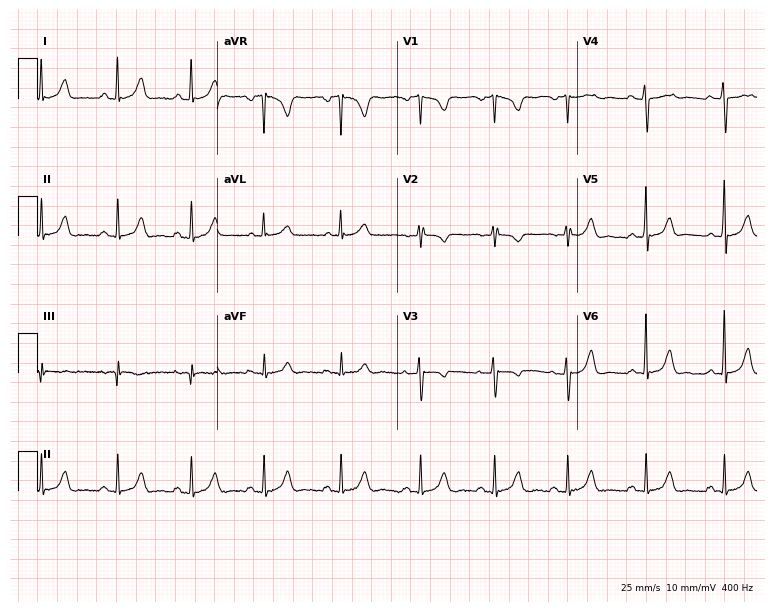
Electrocardiogram, a 36-year-old woman. Overall reading on record: normal ECG.